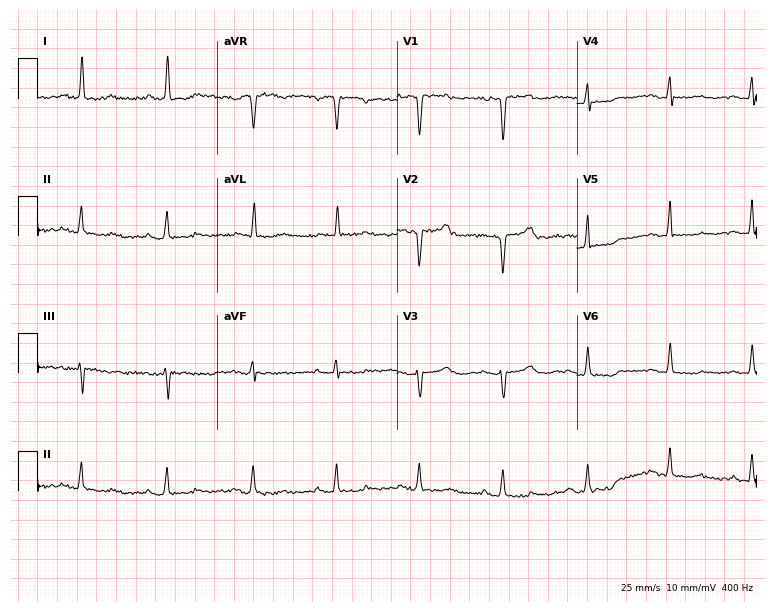
Standard 12-lead ECG recorded from a 67-year-old woman. None of these six findings is recorded: first-degree AV block, right bundle branch block, left bundle branch block, sinus bradycardia, atrial fibrillation, sinus tachycardia.